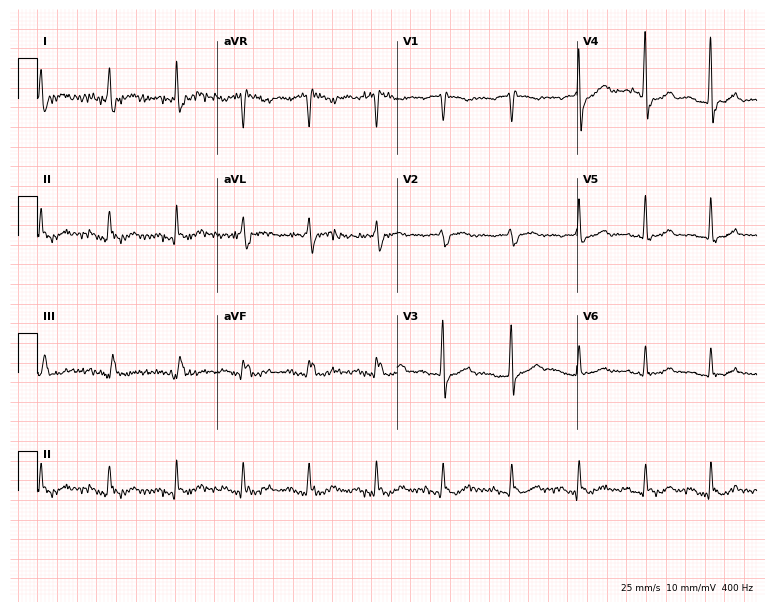
Electrocardiogram (7.3-second recording at 400 Hz), a 68-year-old male. Of the six screened findings (first-degree AV block, right bundle branch block, left bundle branch block, sinus bradycardia, atrial fibrillation, sinus tachycardia), none is recorded.